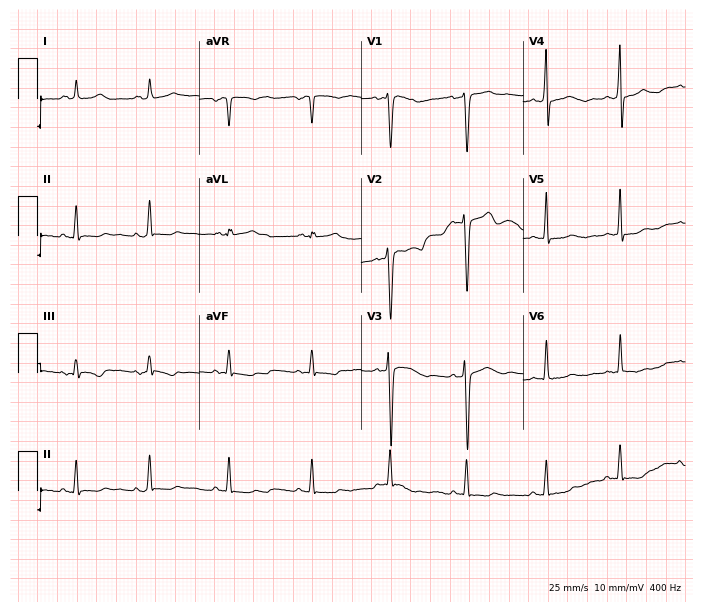
12-lead ECG (6.6-second recording at 400 Hz) from a female, 35 years old. Screened for six findings — first-degree AV block, right bundle branch block (RBBB), left bundle branch block (LBBB), sinus bradycardia, atrial fibrillation (AF), sinus tachycardia — none is recorded. Other findings, if any, are not listed.